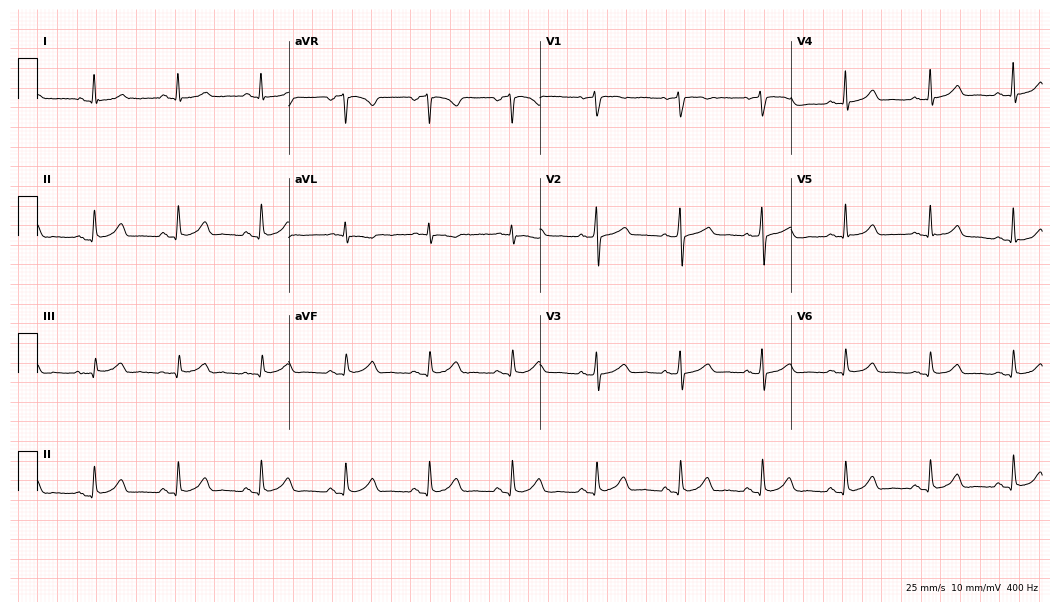
Standard 12-lead ECG recorded from a female, 57 years old (10.2-second recording at 400 Hz). Read as a normal ECG.